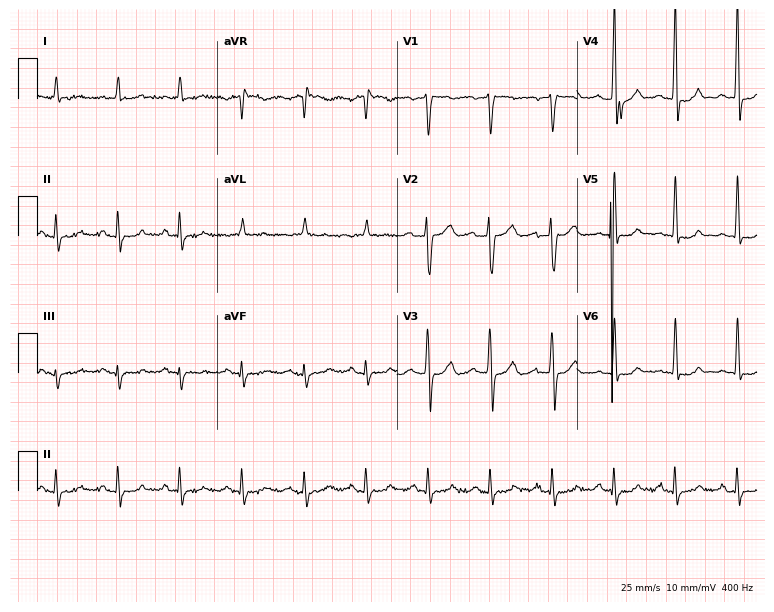
Resting 12-lead electrocardiogram (7.3-second recording at 400 Hz). Patient: a male, 55 years old. None of these six findings is recorded: first-degree AV block, right bundle branch block, left bundle branch block, sinus bradycardia, atrial fibrillation, sinus tachycardia.